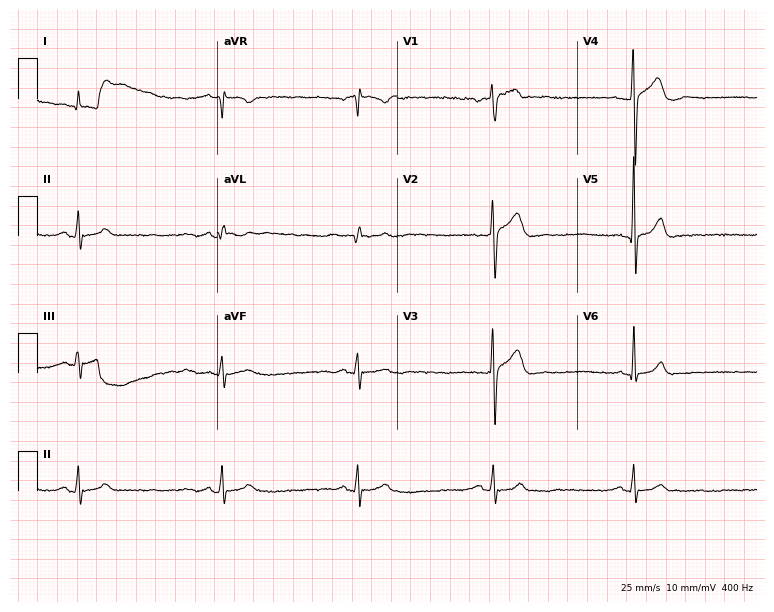
12-lead ECG from a man, 61 years old. Shows sinus bradycardia (a sinus rate of 50 beats per minute or less).